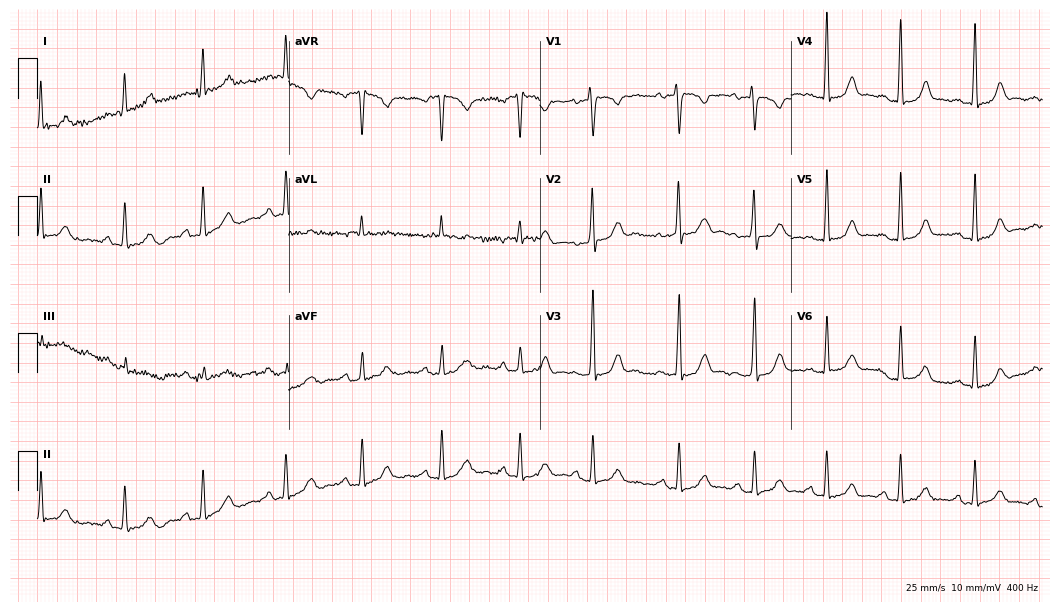
ECG (10.2-second recording at 400 Hz) — a female patient, 30 years old. Labelled as a normal ECG.